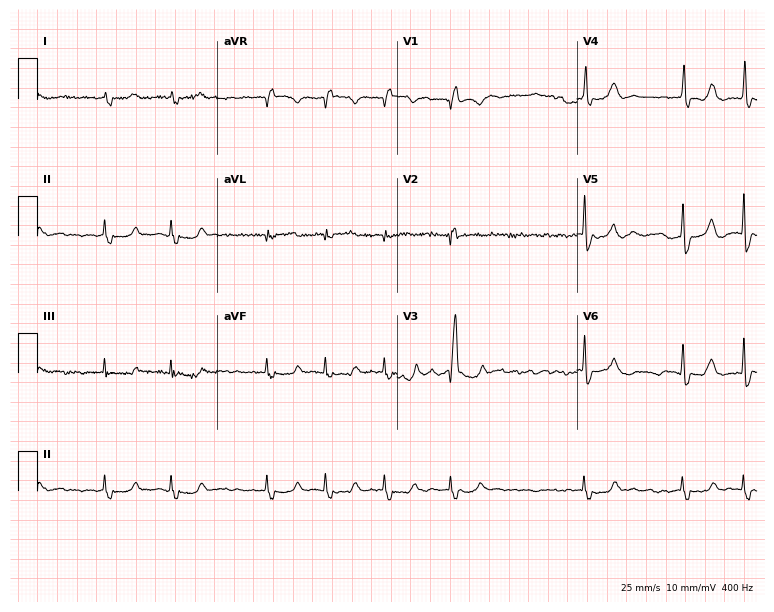
Electrocardiogram, a female, 76 years old. Interpretation includes atrial fibrillation.